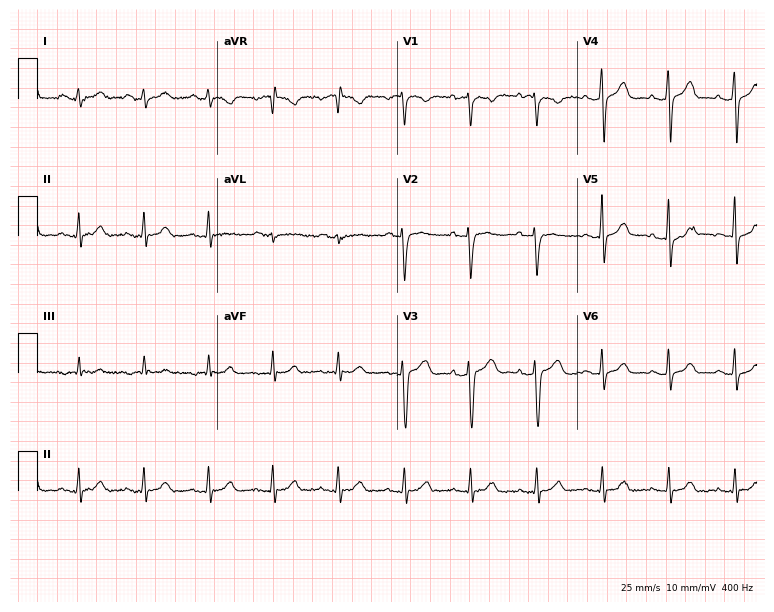
12-lead ECG from a 39-year-old female patient (7.3-second recording at 400 Hz). Recorded interpretation: within normal limits.